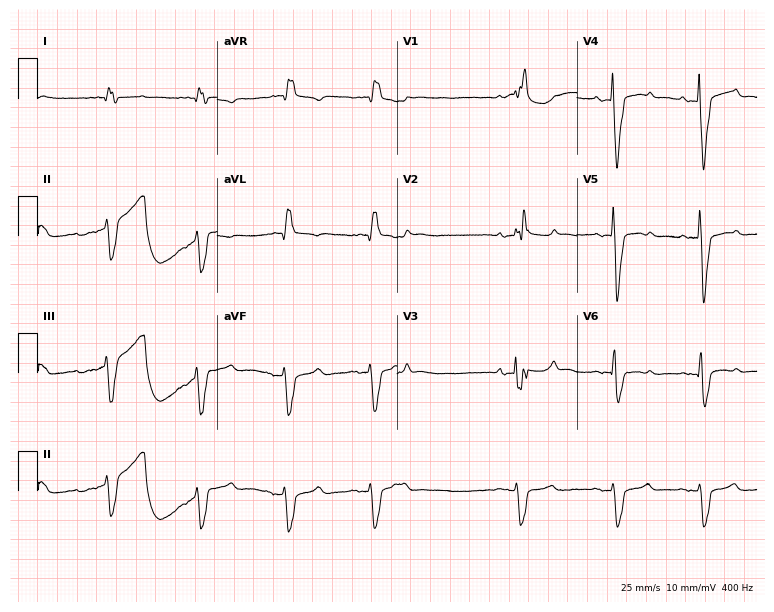
Electrocardiogram, a 61-year-old male. Interpretation includes right bundle branch block.